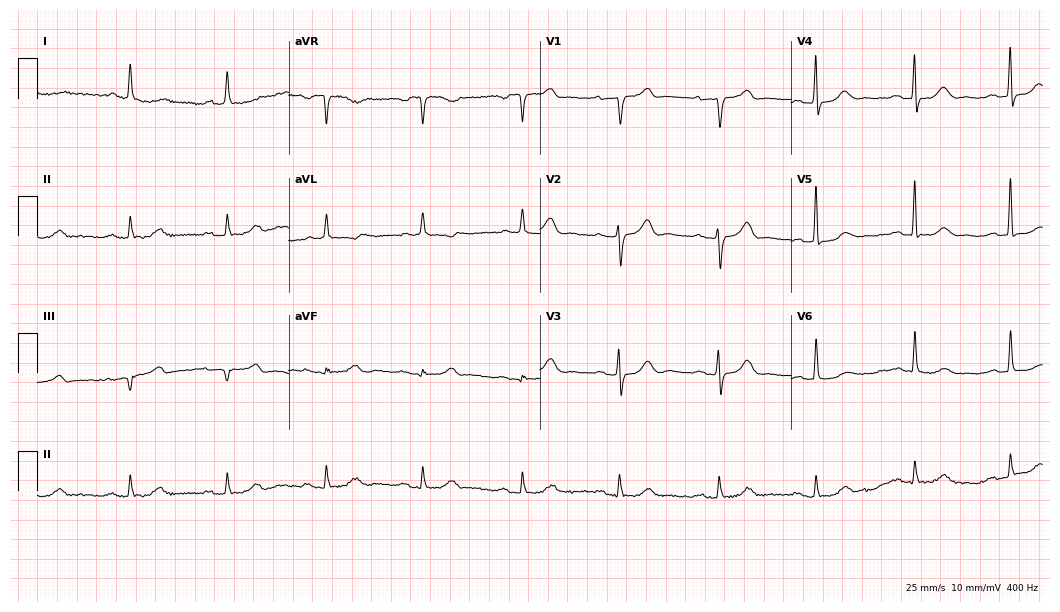
ECG (10.2-second recording at 400 Hz) — an 82-year-old man. Findings include first-degree AV block.